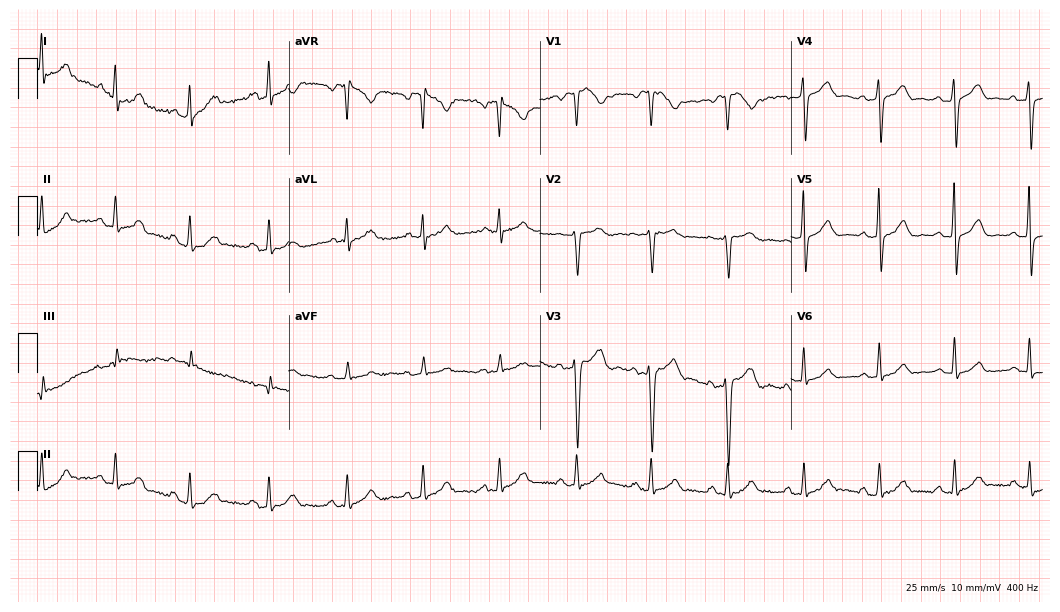
Resting 12-lead electrocardiogram (10.2-second recording at 400 Hz). Patient: a male, 32 years old. Read as a normal ECG.